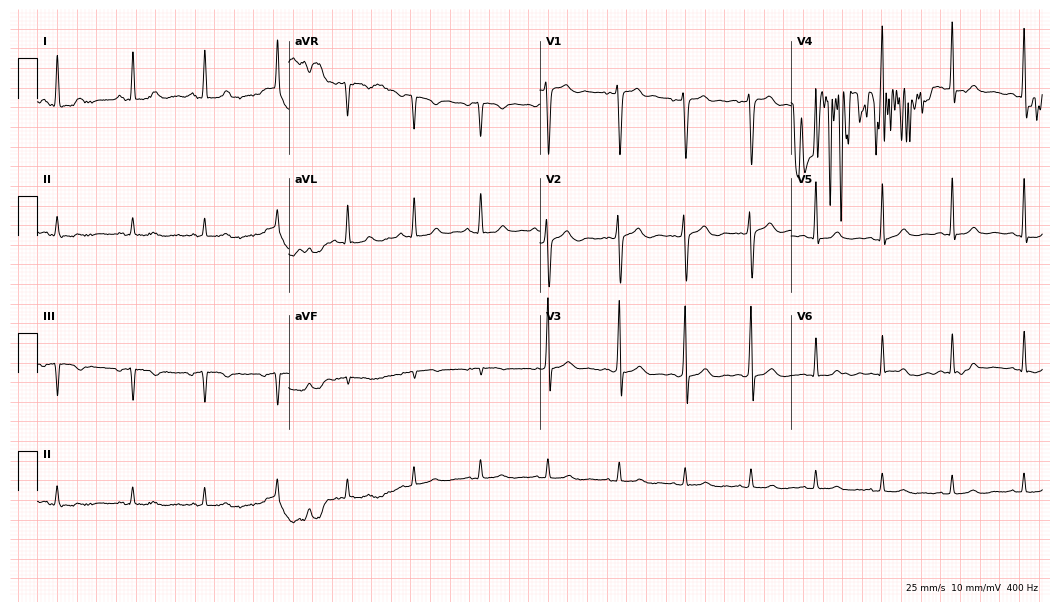
Electrocardiogram, a 19-year-old man. Of the six screened findings (first-degree AV block, right bundle branch block (RBBB), left bundle branch block (LBBB), sinus bradycardia, atrial fibrillation (AF), sinus tachycardia), none is recorded. Other findings, if any, are not listed.